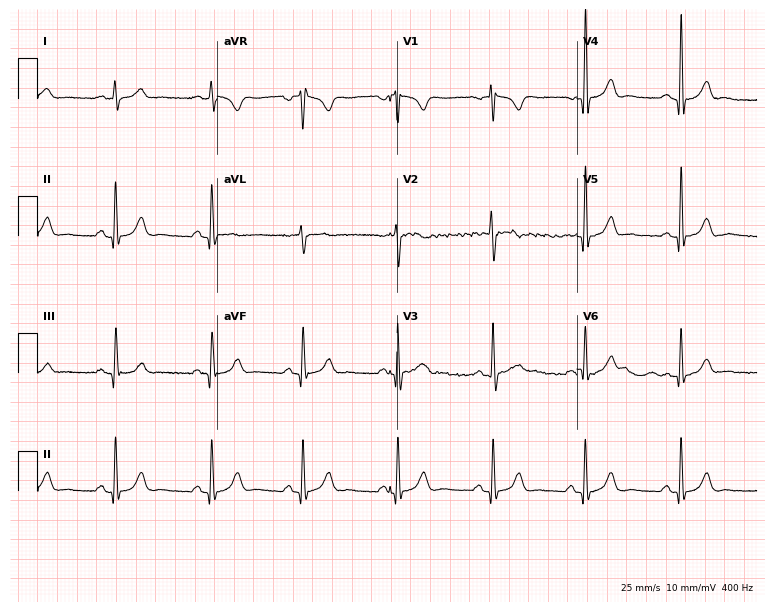
Standard 12-lead ECG recorded from a 27-year-old male (7.3-second recording at 400 Hz). Read as a normal ECG.